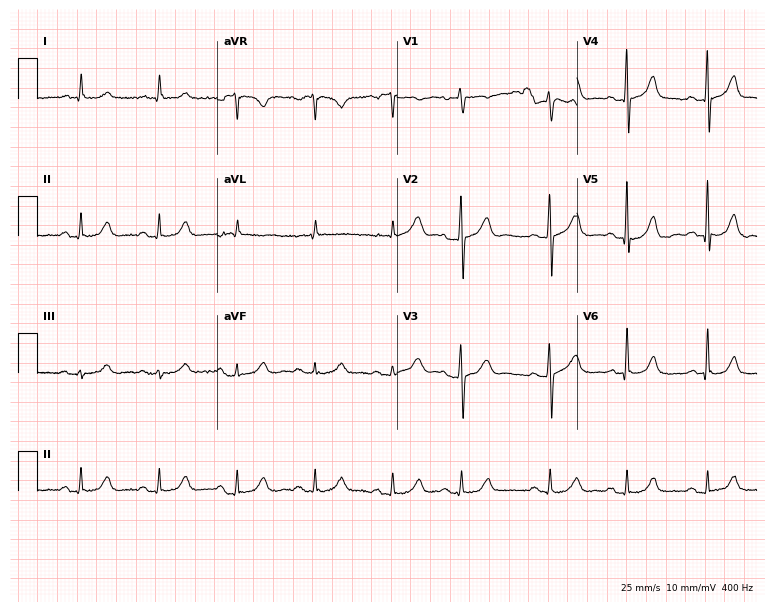
Electrocardiogram, a woman, 85 years old. Of the six screened findings (first-degree AV block, right bundle branch block, left bundle branch block, sinus bradycardia, atrial fibrillation, sinus tachycardia), none is recorded.